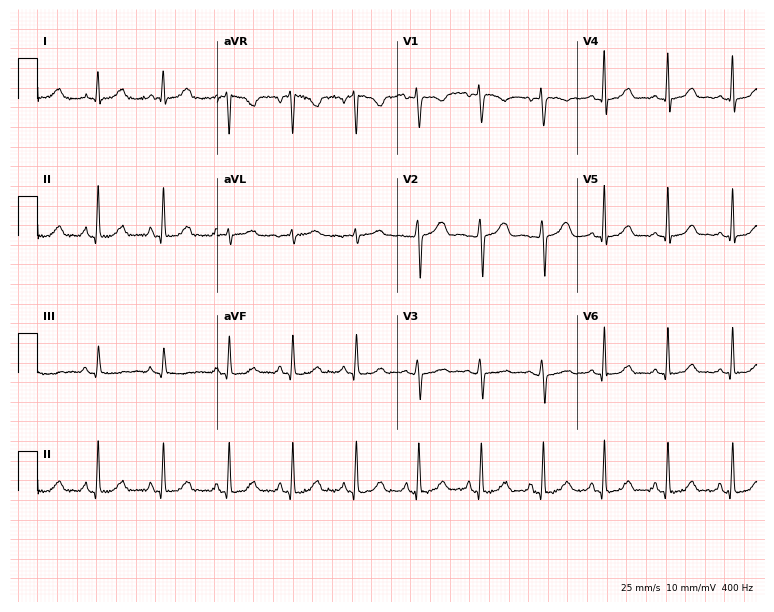
Electrocardiogram, a woman, 33 years old. Overall reading on record: normal ECG.